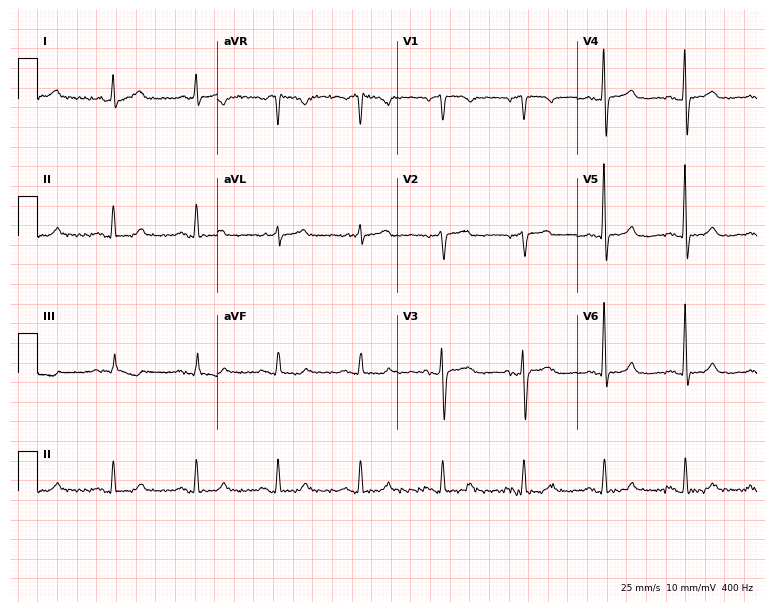
12-lead ECG from a female patient, 75 years old (7.3-second recording at 400 Hz). Recorded interpretation: within normal limits.